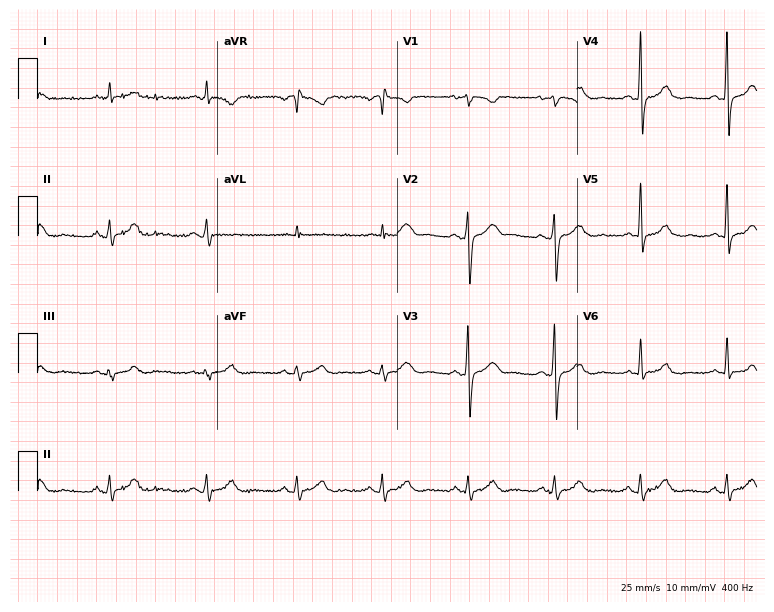
Electrocardiogram, a male patient, 48 years old. Overall reading on record: normal ECG.